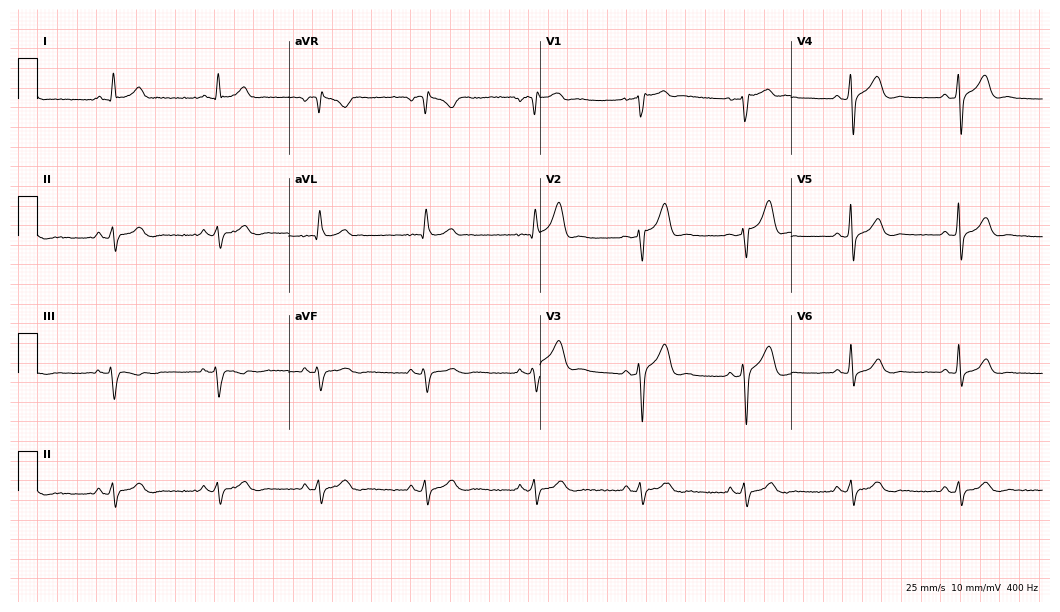
Electrocardiogram (10.2-second recording at 400 Hz), a 56-year-old male. Of the six screened findings (first-degree AV block, right bundle branch block, left bundle branch block, sinus bradycardia, atrial fibrillation, sinus tachycardia), none is recorded. Only these six findings were labelled.